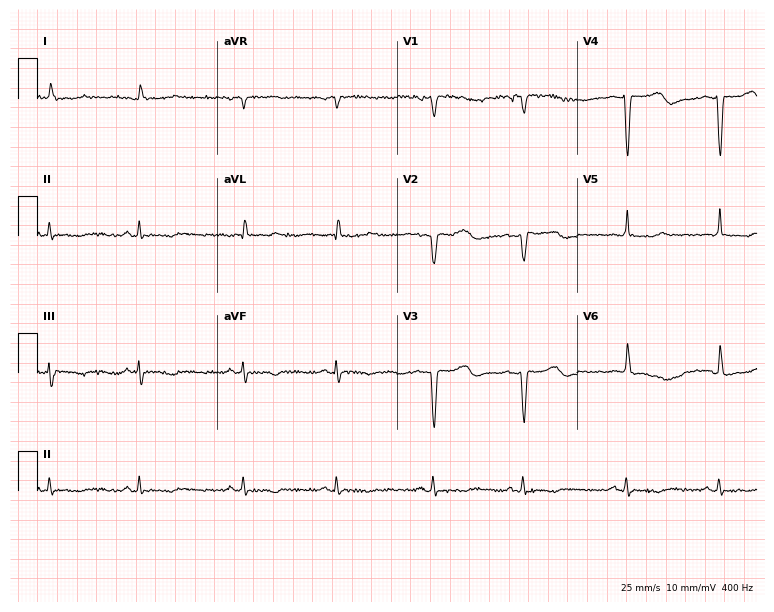
12-lead ECG from an 81-year-old female patient (7.3-second recording at 400 Hz). No first-degree AV block, right bundle branch block, left bundle branch block, sinus bradycardia, atrial fibrillation or sinus tachycardia recorded for this tracing. Only these six findings were labelled.